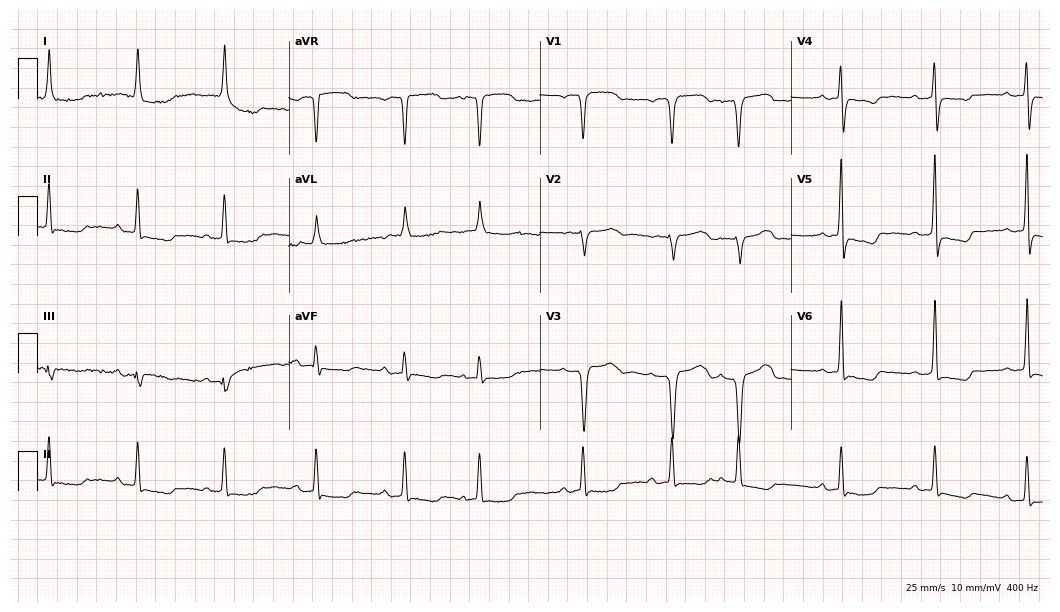
Resting 12-lead electrocardiogram. Patient: a female, 83 years old. None of these six findings is recorded: first-degree AV block, right bundle branch block, left bundle branch block, sinus bradycardia, atrial fibrillation, sinus tachycardia. Other findings, if any, are not listed.